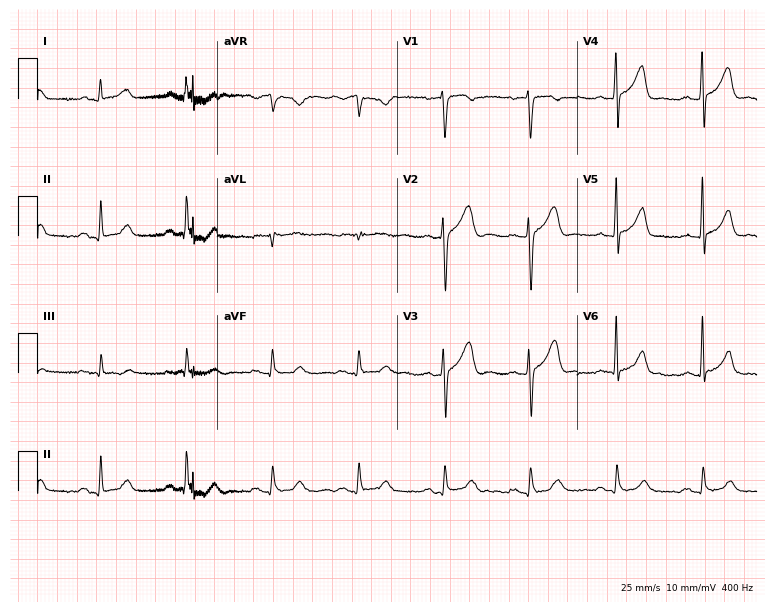
Electrocardiogram, a 69-year-old man. Overall reading on record: normal ECG.